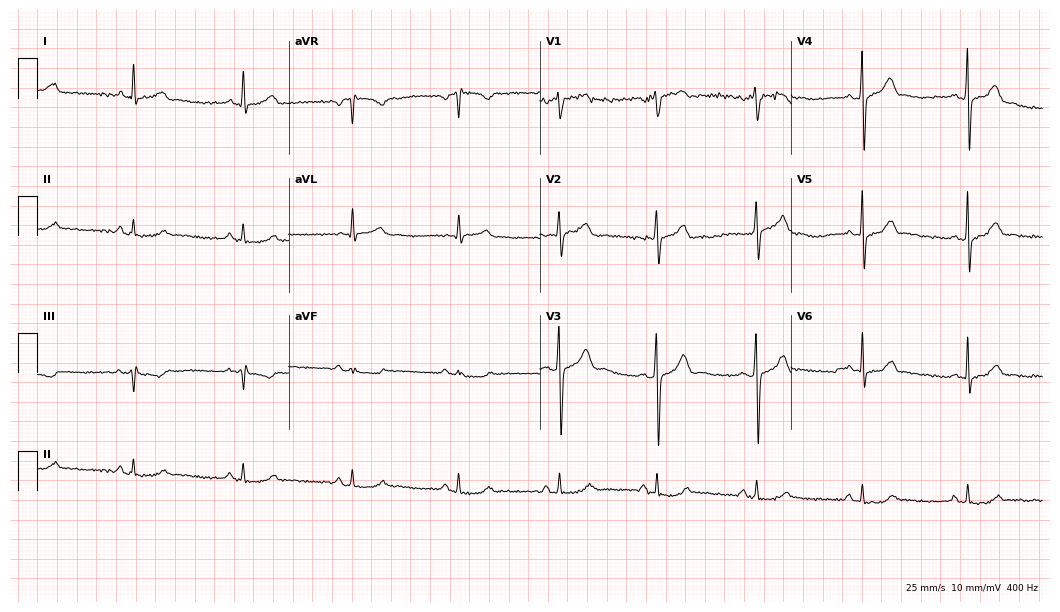
ECG — a 31-year-old male patient. Labelled as a normal ECG.